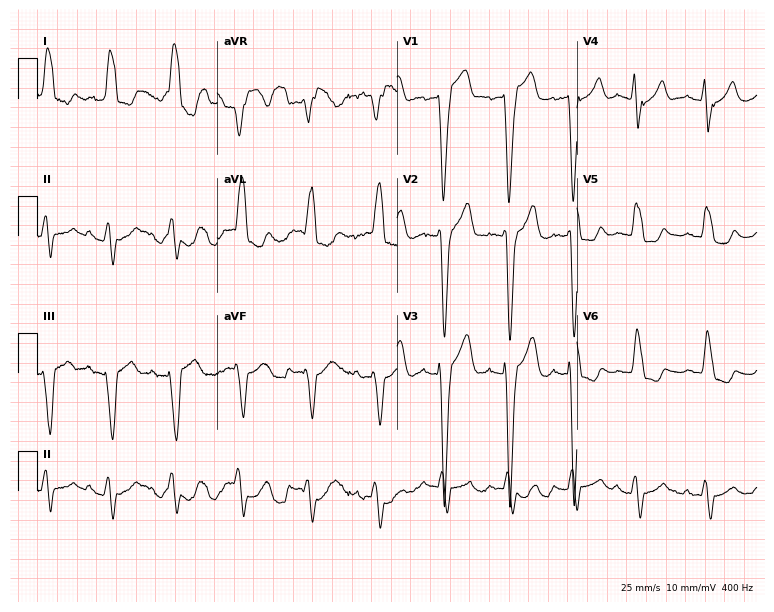
Standard 12-lead ECG recorded from an 84-year-old man. The tracing shows left bundle branch block.